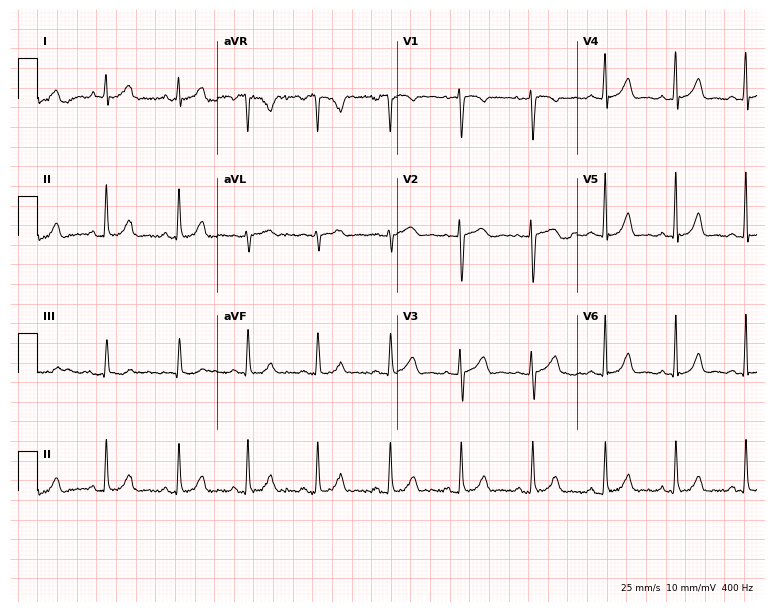
Electrocardiogram (7.3-second recording at 400 Hz), a woman, 20 years old. Overall reading on record: normal ECG.